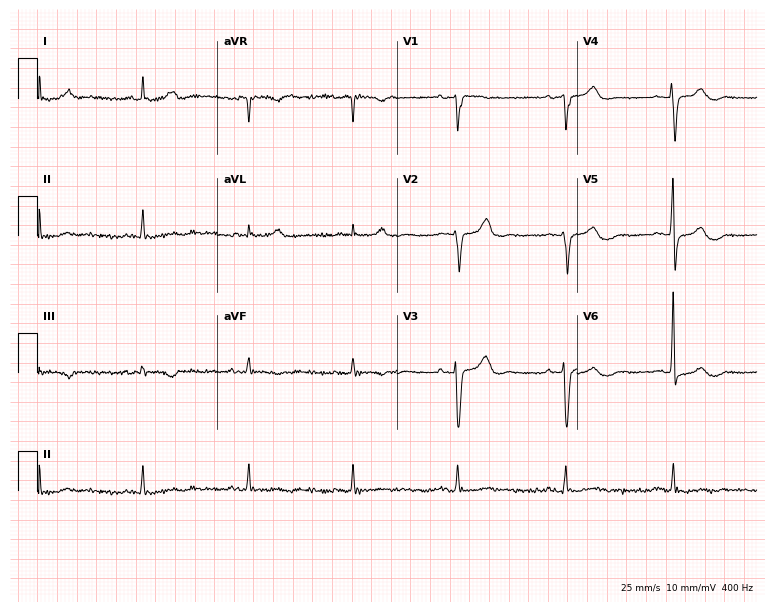
Resting 12-lead electrocardiogram. Patient: a female, 79 years old. None of these six findings is recorded: first-degree AV block, right bundle branch block (RBBB), left bundle branch block (LBBB), sinus bradycardia, atrial fibrillation (AF), sinus tachycardia.